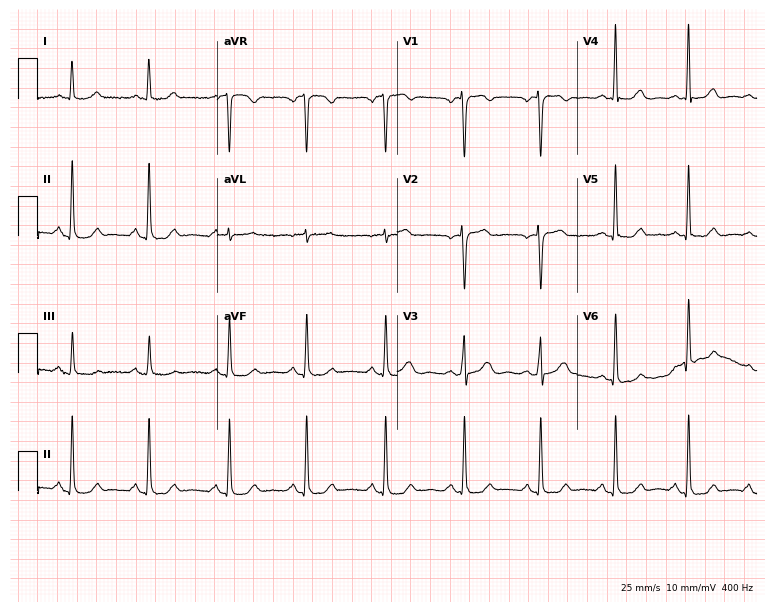
Standard 12-lead ECG recorded from a 39-year-old woman. None of these six findings is recorded: first-degree AV block, right bundle branch block, left bundle branch block, sinus bradycardia, atrial fibrillation, sinus tachycardia.